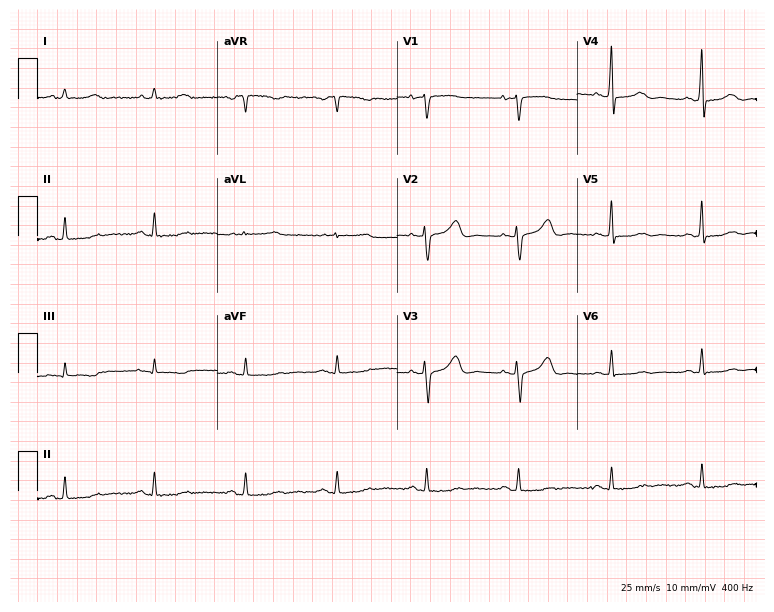
Standard 12-lead ECG recorded from a 59-year-old female. None of these six findings is recorded: first-degree AV block, right bundle branch block, left bundle branch block, sinus bradycardia, atrial fibrillation, sinus tachycardia. Findings outside these six are not listed.